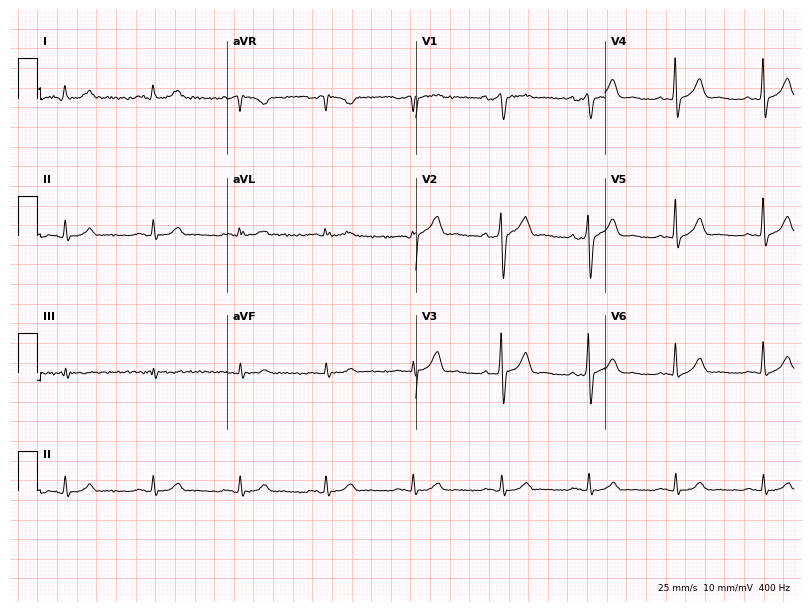
ECG — a man, 59 years old. Labelled as a normal ECG.